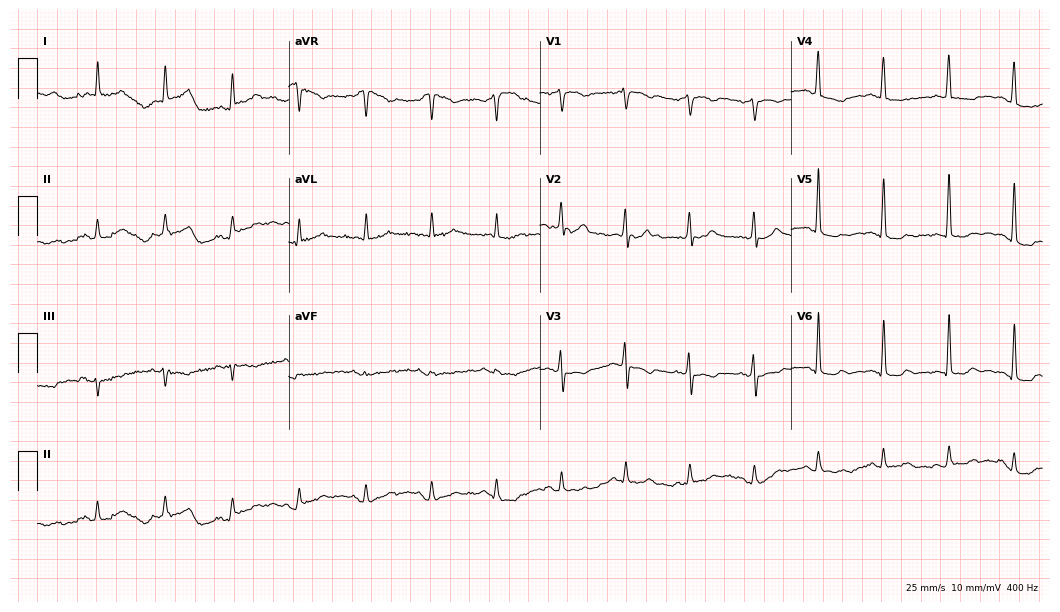
12-lead ECG from a 69-year-old man. No first-degree AV block, right bundle branch block (RBBB), left bundle branch block (LBBB), sinus bradycardia, atrial fibrillation (AF) or sinus tachycardia recorded for this tracing. Findings outside these six are not listed.